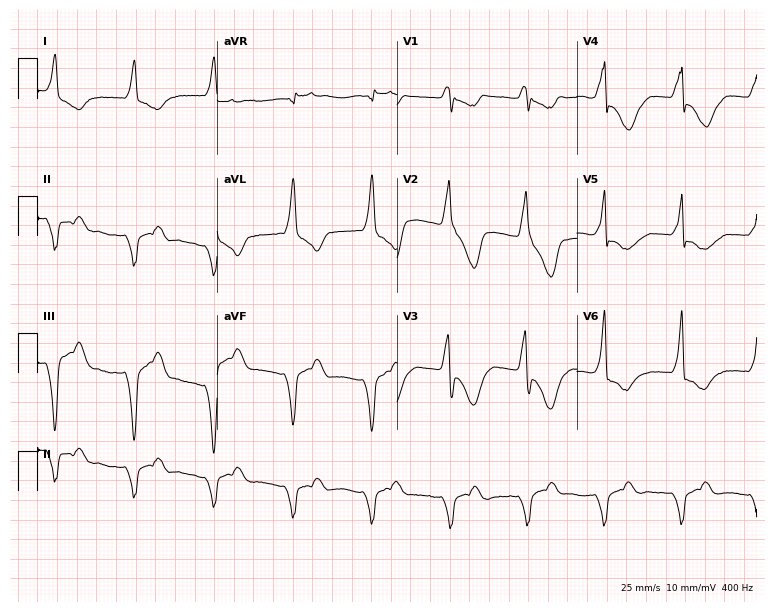
12-lead ECG from a male patient, 73 years old. No first-degree AV block, right bundle branch block (RBBB), left bundle branch block (LBBB), sinus bradycardia, atrial fibrillation (AF) or sinus tachycardia recorded for this tracing. Only these six findings were labelled.